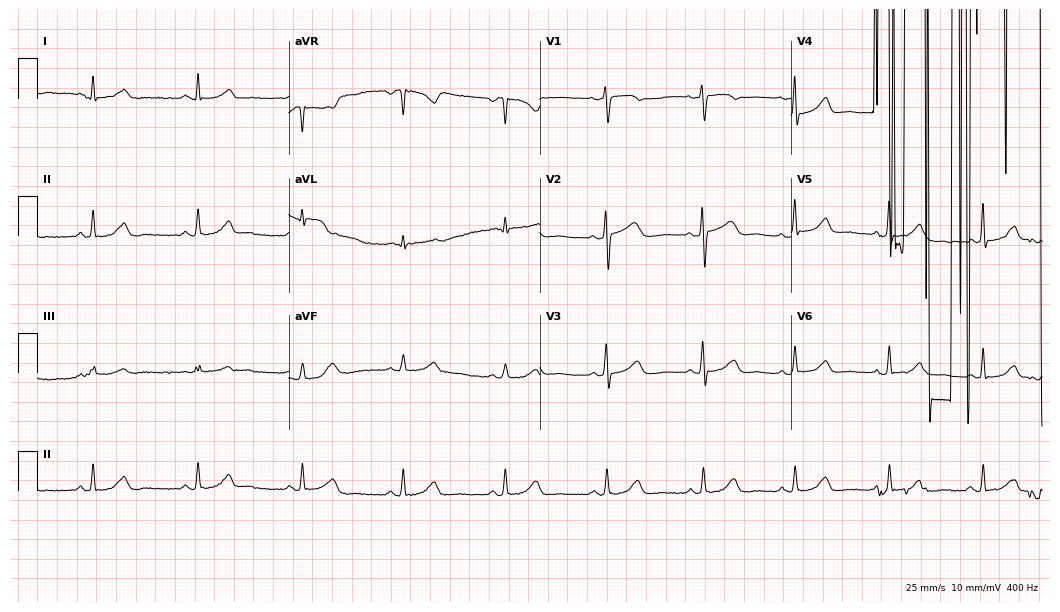
12-lead ECG (10.2-second recording at 400 Hz) from a woman, 52 years old. Screened for six findings — first-degree AV block, right bundle branch block (RBBB), left bundle branch block (LBBB), sinus bradycardia, atrial fibrillation (AF), sinus tachycardia — none is recorded.